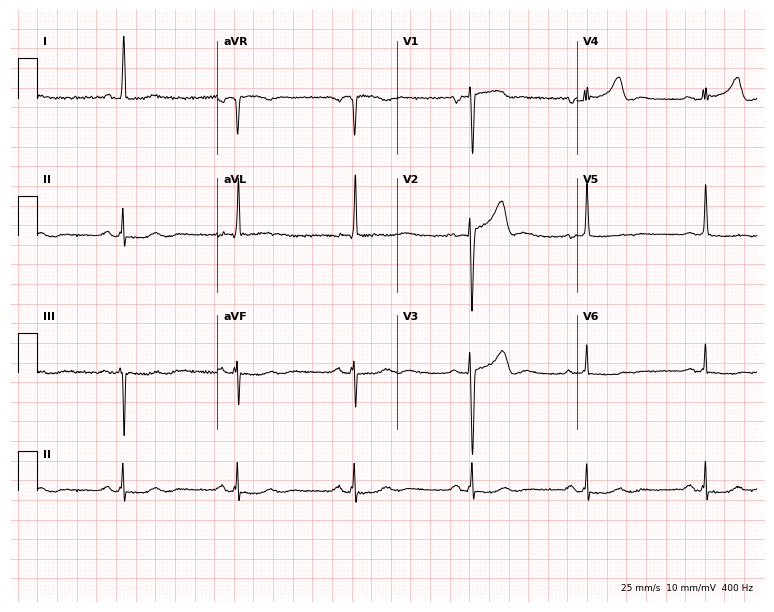
Standard 12-lead ECG recorded from a male patient, 63 years old. None of these six findings is recorded: first-degree AV block, right bundle branch block (RBBB), left bundle branch block (LBBB), sinus bradycardia, atrial fibrillation (AF), sinus tachycardia.